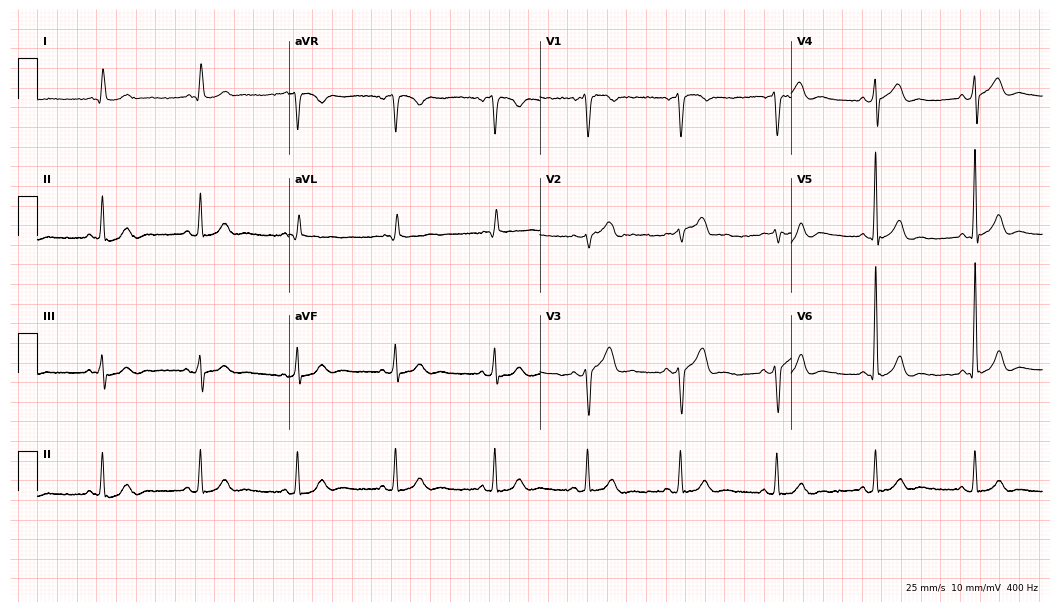
Standard 12-lead ECG recorded from a 73-year-old man. None of these six findings is recorded: first-degree AV block, right bundle branch block, left bundle branch block, sinus bradycardia, atrial fibrillation, sinus tachycardia.